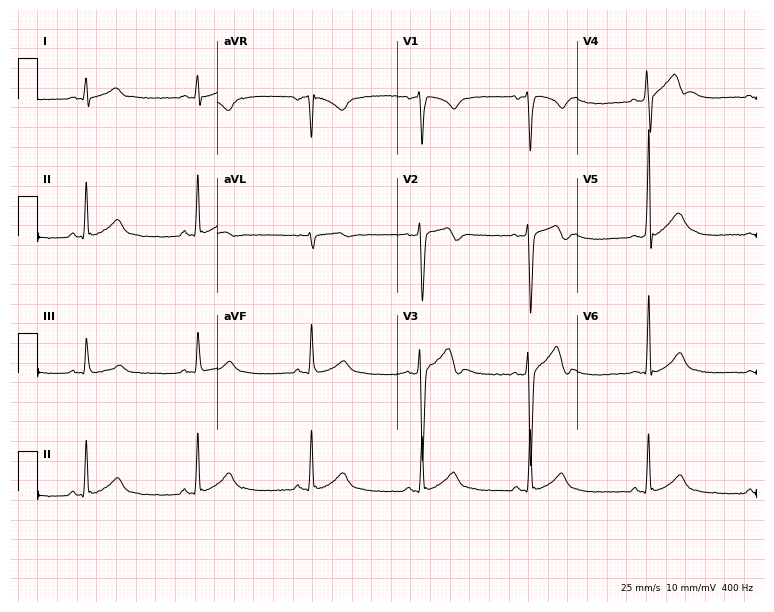
Standard 12-lead ECG recorded from a male, 24 years old (7.3-second recording at 400 Hz). None of these six findings is recorded: first-degree AV block, right bundle branch block, left bundle branch block, sinus bradycardia, atrial fibrillation, sinus tachycardia.